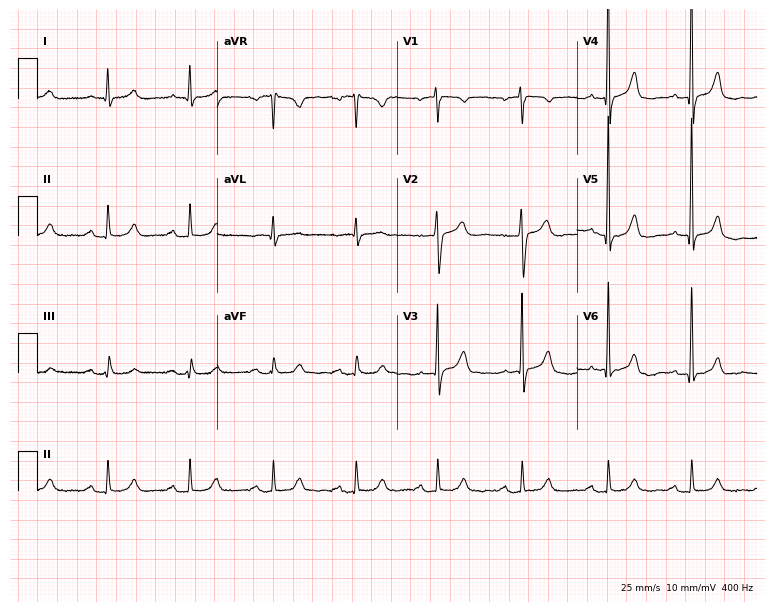
Standard 12-lead ECG recorded from a 56-year-old male patient. None of these six findings is recorded: first-degree AV block, right bundle branch block, left bundle branch block, sinus bradycardia, atrial fibrillation, sinus tachycardia.